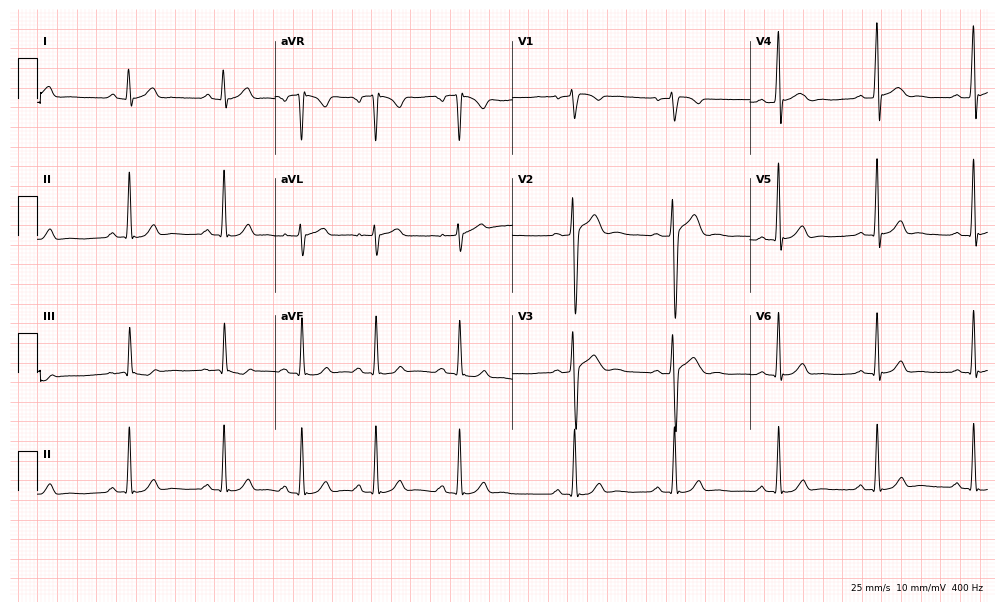
12-lead ECG (9.7-second recording at 400 Hz) from a male, 19 years old. Labelled as a normal ECG.